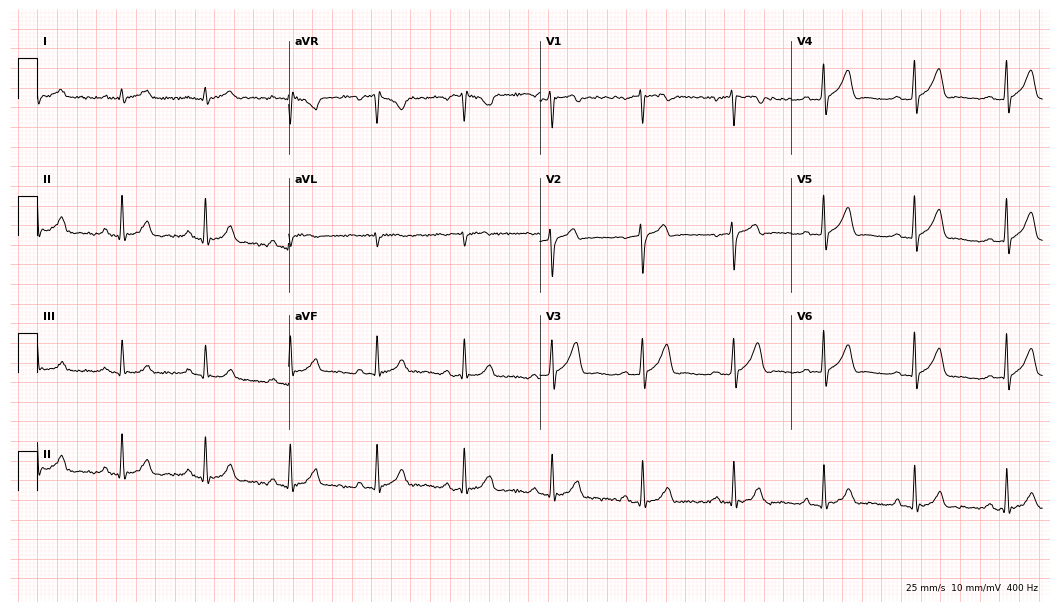
Standard 12-lead ECG recorded from a 50-year-old male patient (10.2-second recording at 400 Hz). Read as a normal ECG.